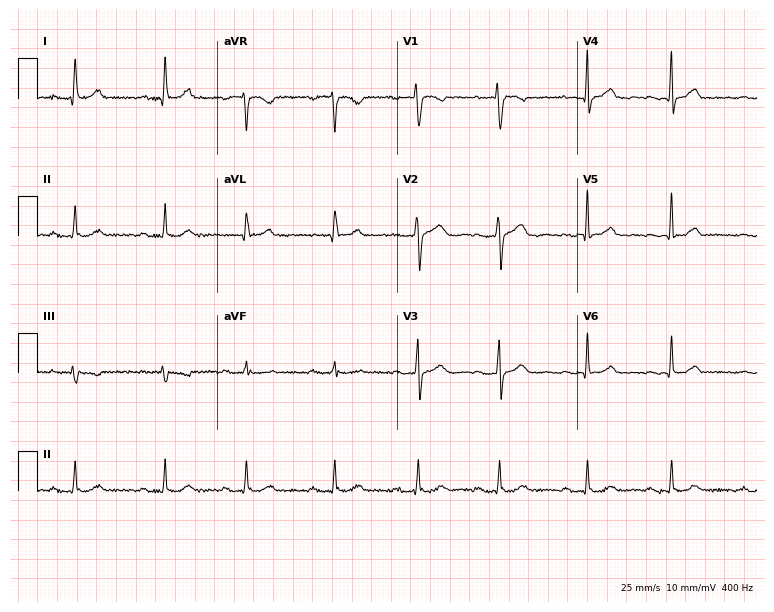
12-lead ECG from a 34-year-old woman. Recorded interpretation: within normal limits.